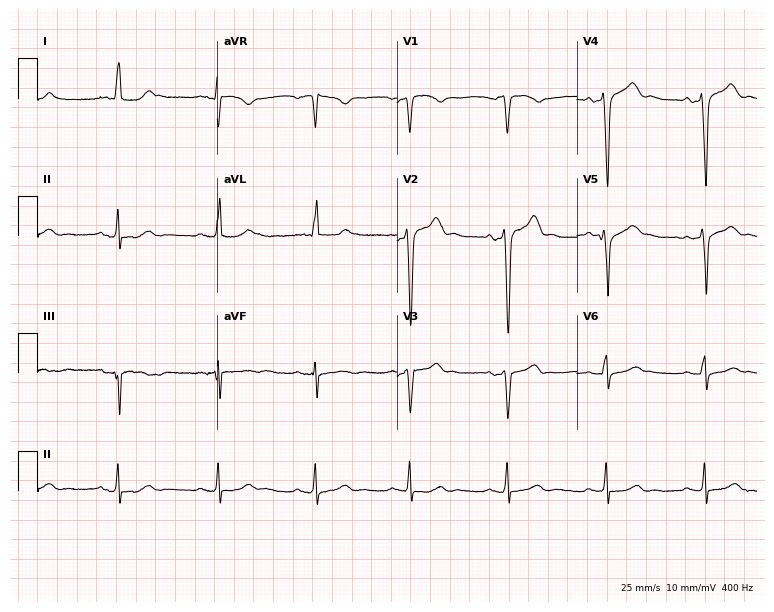
ECG — a 57-year-old man. Screened for six findings — first-degree AV block, right bundle branch block, left bundle branch block, sinus bradycardia, atrial fibrillation, sinus tachycardia — none is recorded.